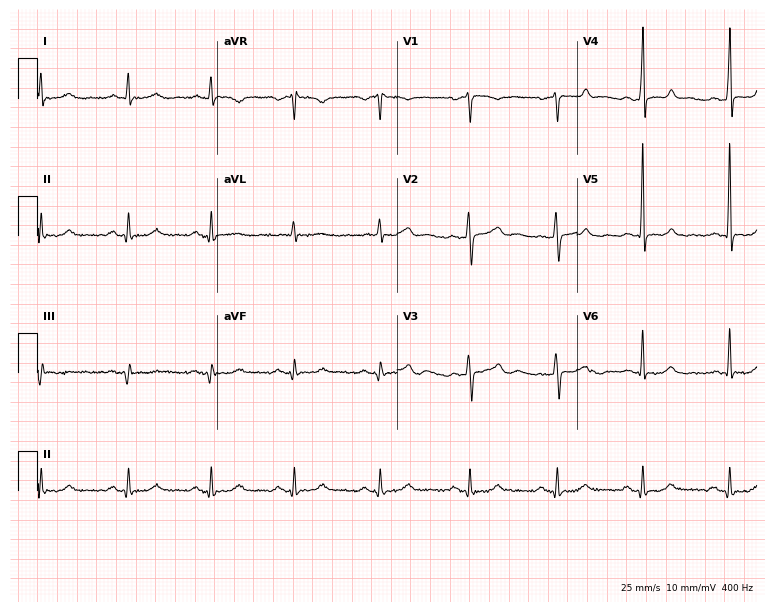
12-lead ECG from a man, 59 years old. Labelled as a normal ECG.